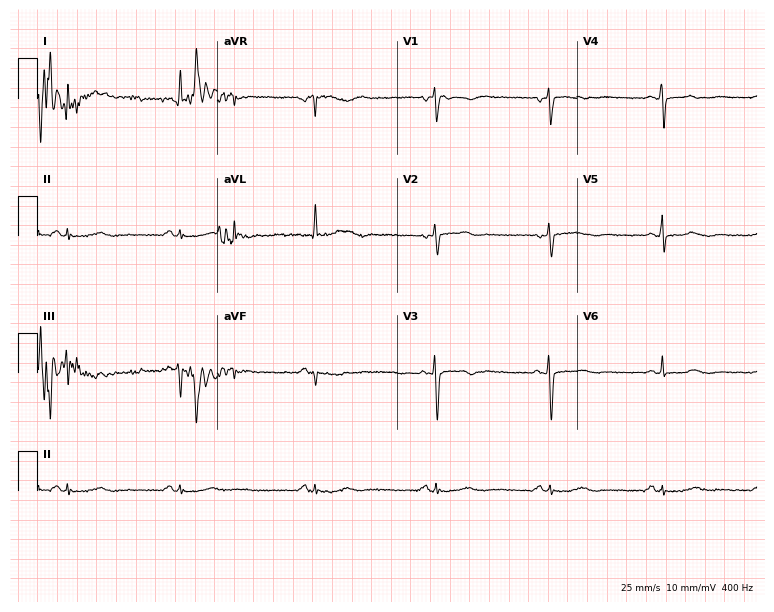
Resting 12-lead electrocardiogram. Patient: a 66-year-old female. None of these six findings is recorded: first-degree AV block, right bundle branch block, left bundle branch block, sinus bradycardia, atrial fibrillation, sinus tachycardia. Other findings, if any, are not listed.